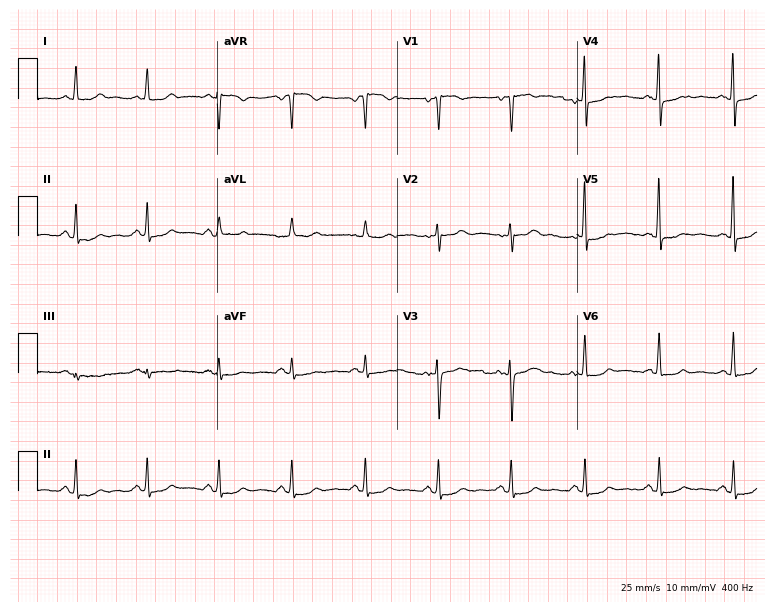
Electrocardiogram (7.3-second recording at 400 Hz), a woman, 56 years old. Of the six screened findings (first-degree AV block, right bundle branch block, left bundle branch block, sinus bradycardia, atrial fibrillation, sinus tachycardia), none is recorded. Findings outside these six are not listed.